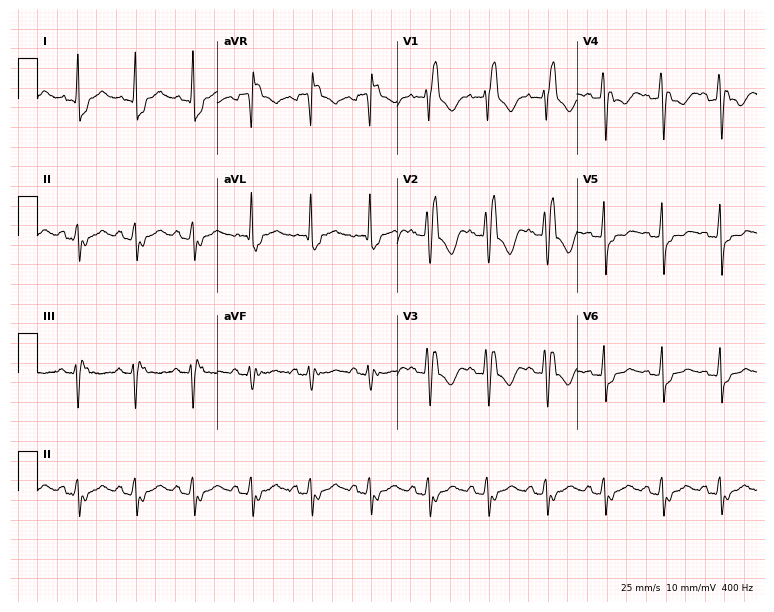
12-lead ECG from a 42-year-old man (7.3-second recording at 400 Hz). Shows right bundle branch block, sinus tachycardia (a sinus rate of 100 beats per minute or more).